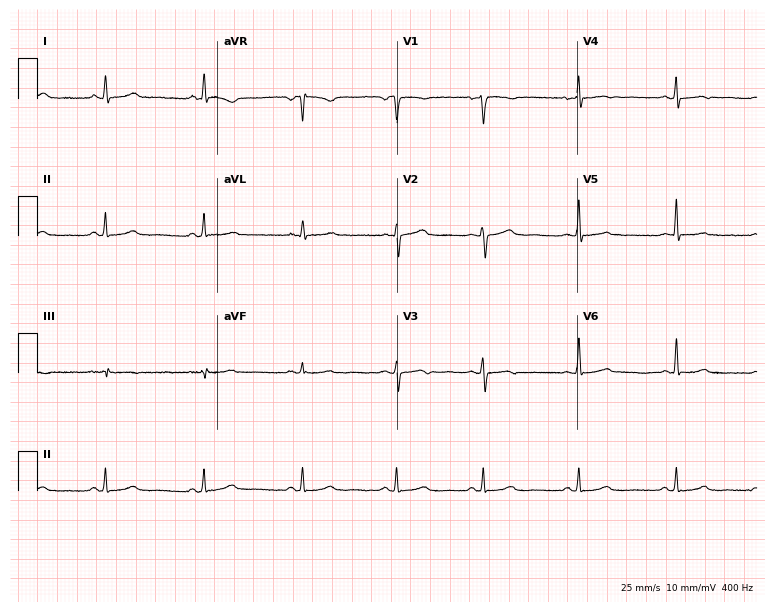
ECG (7.3-second recording at 400 Hz) — a female patient, 44 years old. Labelled as a normal ECG.